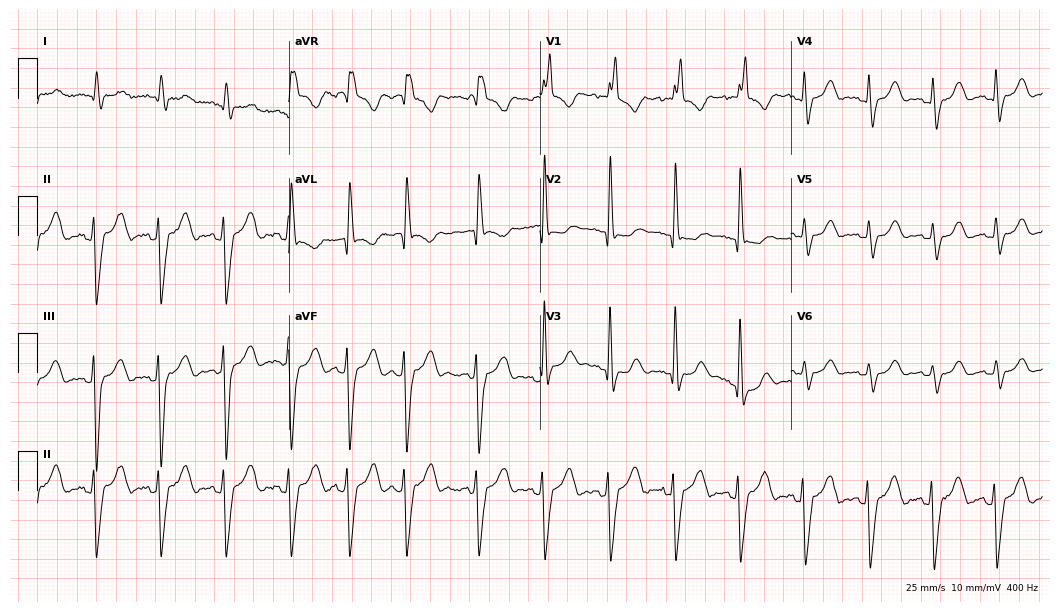
ECG (10.2-second recording at 400 Hz) — a female patient, 56 years old. Screened for six findings — first-degree AV block, right bundle branch block (RBBB), left bundle branch block (LBBB), sinus bradycardia, atrial fibrillation (AF), sinus tachycardia — none is recorded.